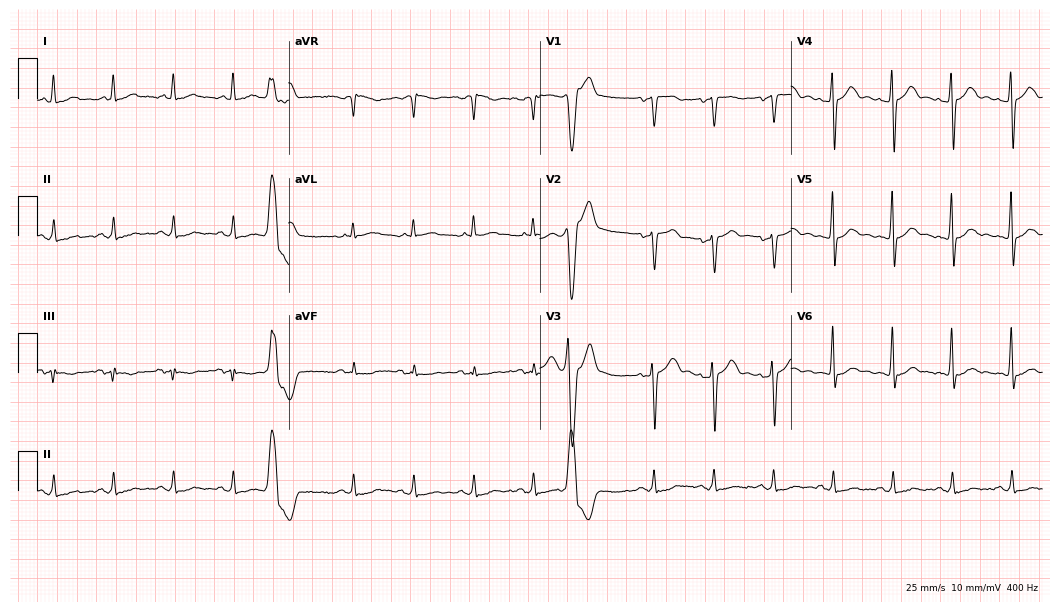
12-lead ECG from a 63-year-old male (10.2-second recording at 400 Hz). No first-degree AV block, right bundle branch block, left bundle branch block, sinus bradycardia, atrial fibrillation or sinus tachycardia recorded for this tracing.